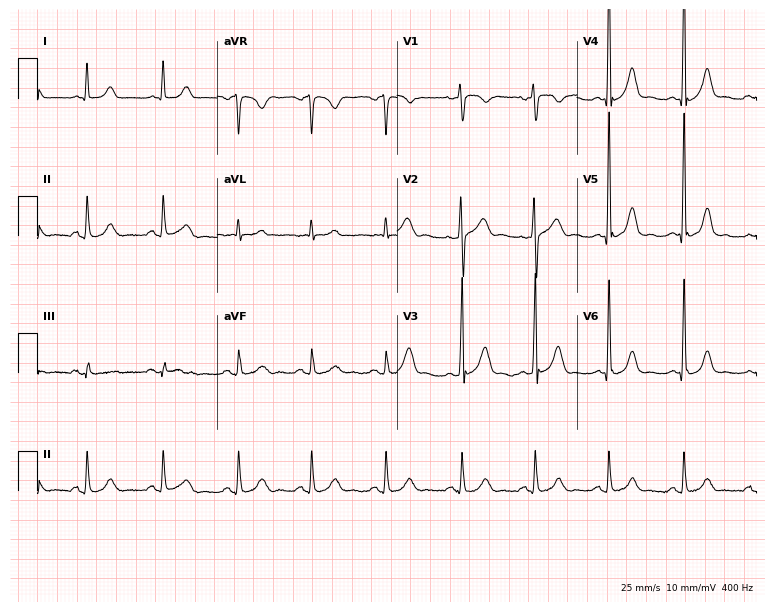
12-lead ECG (7.3-second recording at 400 Hz) from a 59-year-old woman. Labelled as a normal ECG.